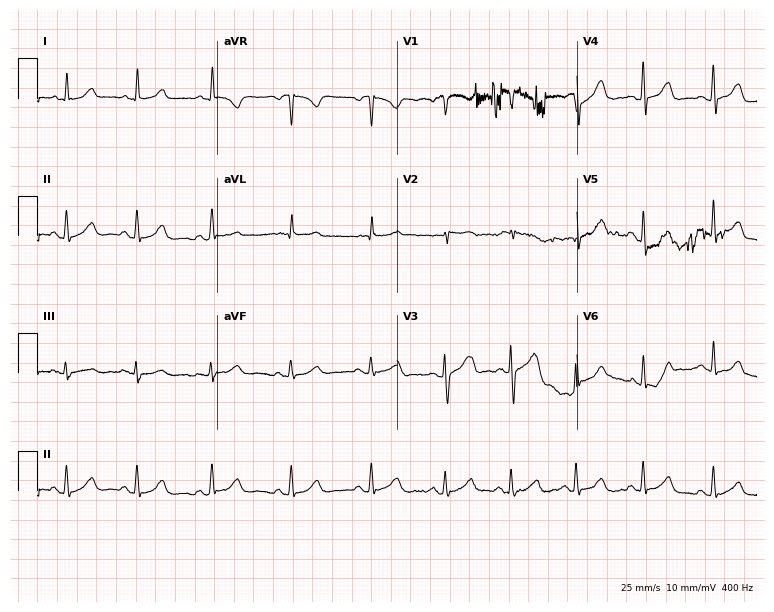
Resting 12-lead electrocardiogram. Patient: a 26-year-old man. Read as a normal ECG.